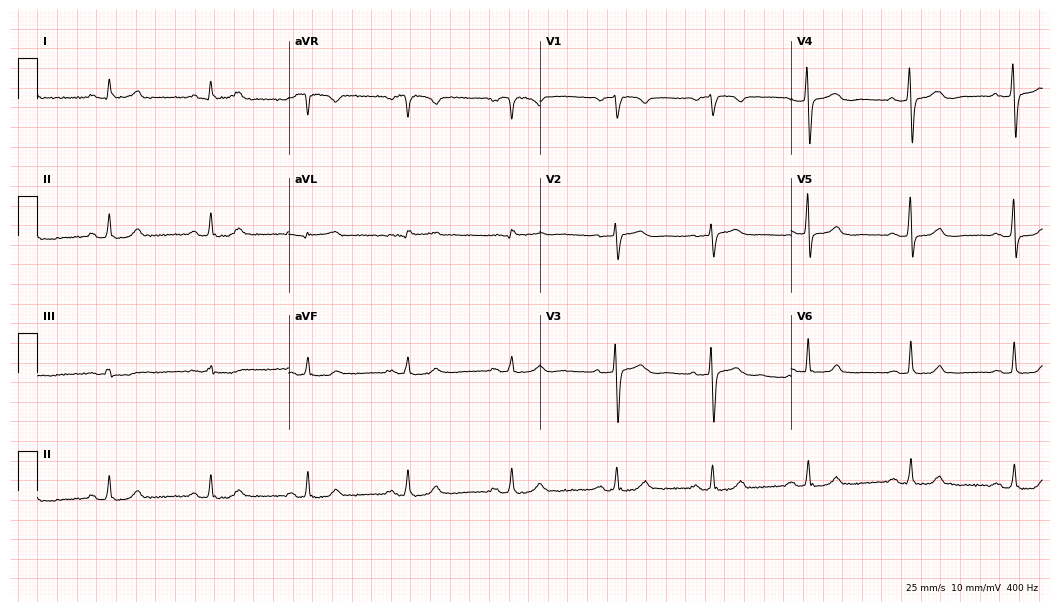
Resting 12-lead electrocardiogram. Patient: a woman, 54 years old. Read as a normal ECG.